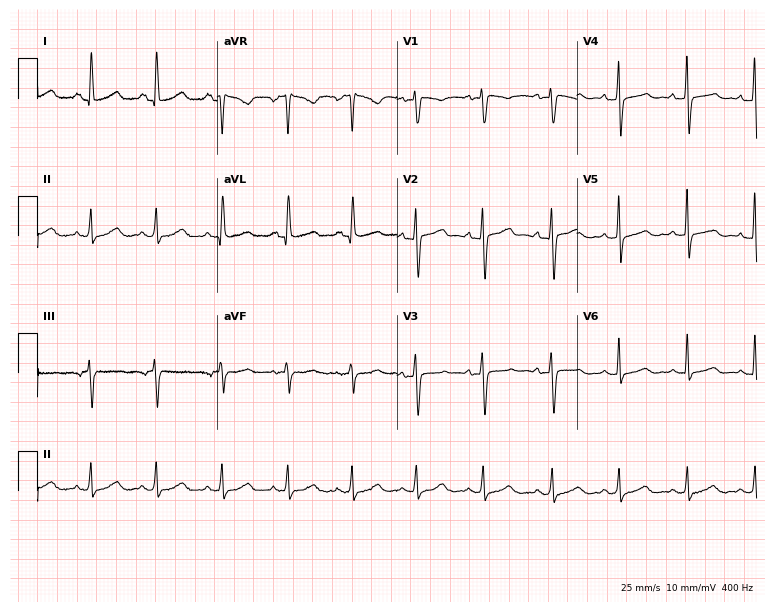
Resting 12-lead electrocardiogram. Patient: a female, 47 years old. None of these six findings is recorded: first-degree AV block, right bundle branch block, left bundle branch block, sinus bradycardia, atrial fibrillation, sinus tachycardia. Findings outside these six are not listed.